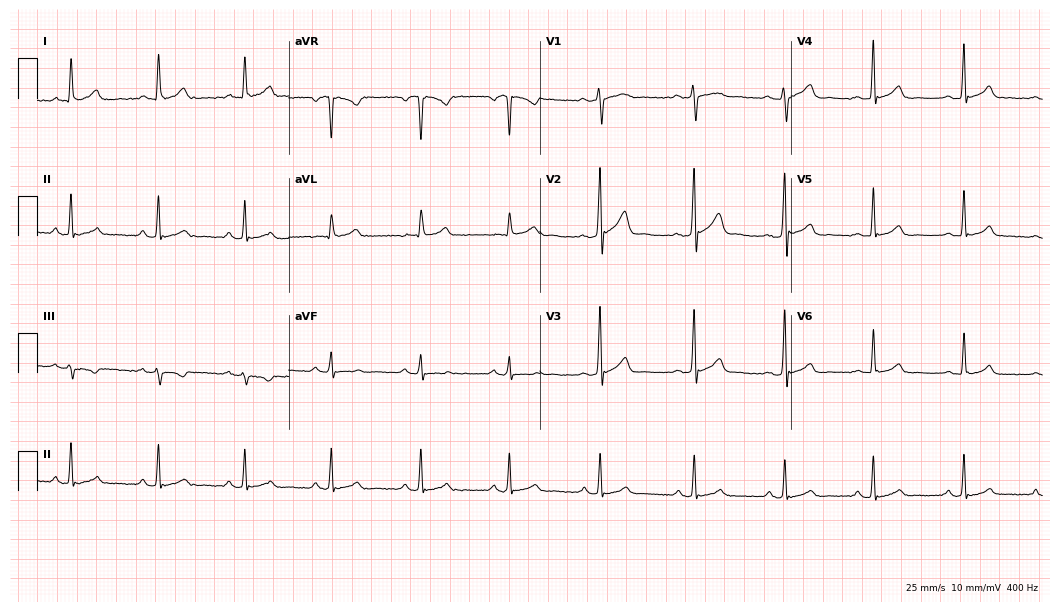
Resting 12-lead electrocardiogram (10.2-second recording at 400 Hz). Patient: a 40-year-old woman. Read as a normal ECG.